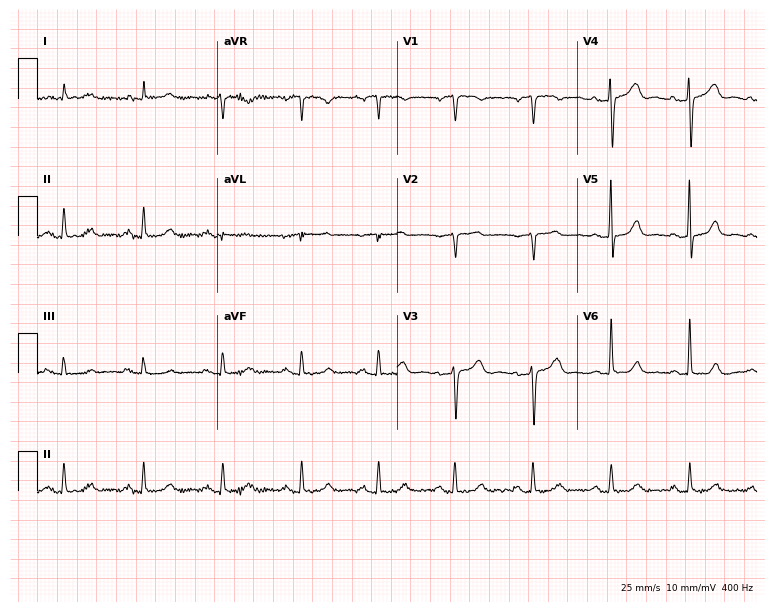
Electrocardiogram (7.3-second recording at 400 Hz), a woman, 59 years old. Overall reading on record: normal ECG.